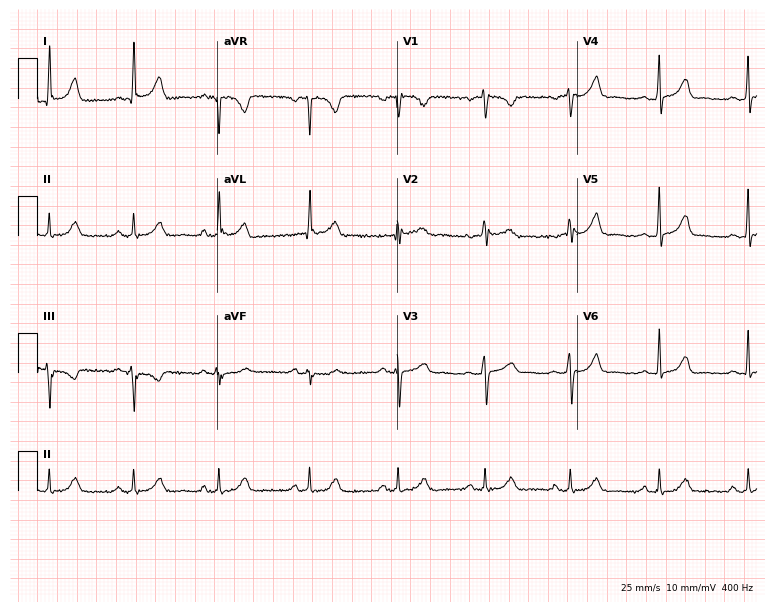
ECG (7.3-second recording at 400 Hz) — a female, 53 years old. Labelled as a normal ECG.